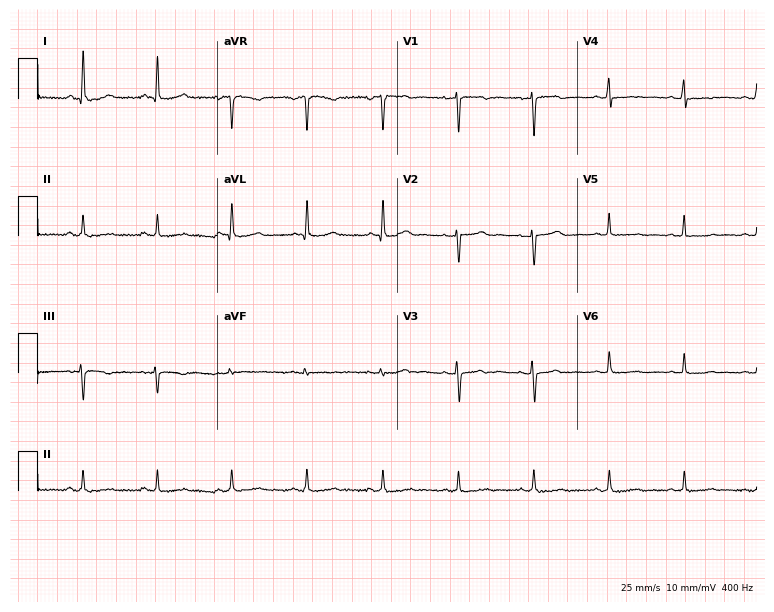
12-lead ECG from a 48-year-old female patient. No first-degree AV block, right bundle branch block, left bundle branch block, sinus bradycardia, atrial fibrillation or sinus tachycardia recorded for this tracing.